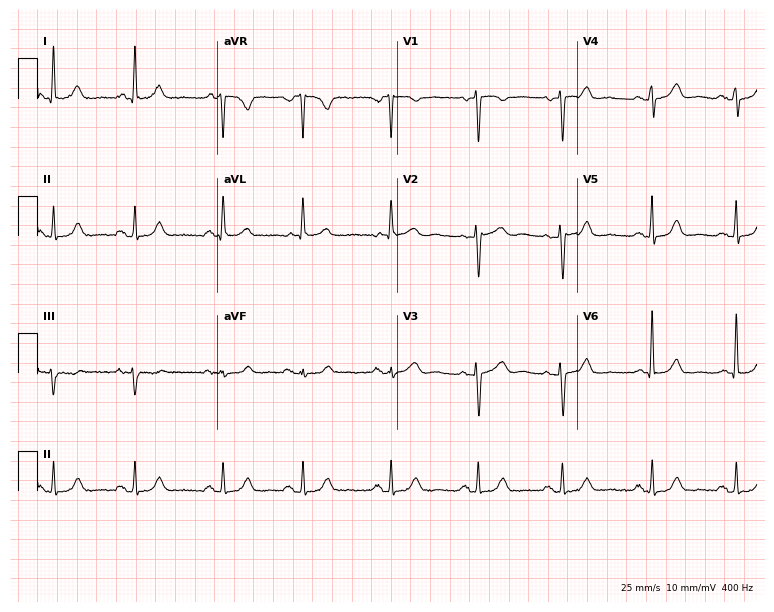
Standard 12-lead ECG recorded from an 80-year-old female (7.3-second recording at 400 Hz). Read as a normal ECG.